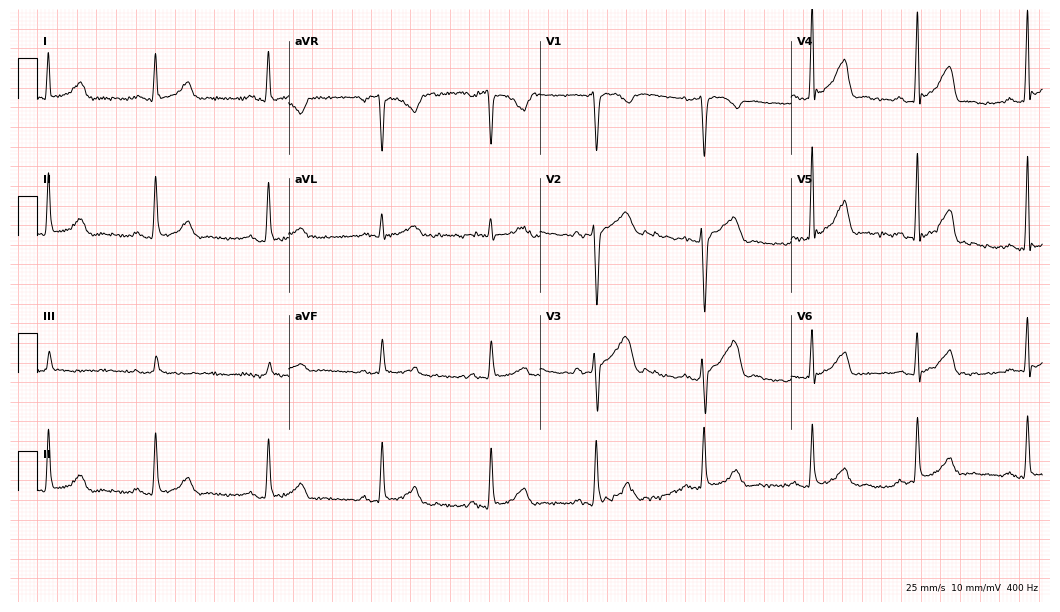
12-lead ECG from a 38-year-old male. No first-degree AV block, right bundle branch block, left bundle branch block, sinus bradycardia, atrial fibrillation or sinus tachycardia recorded for this tracing.